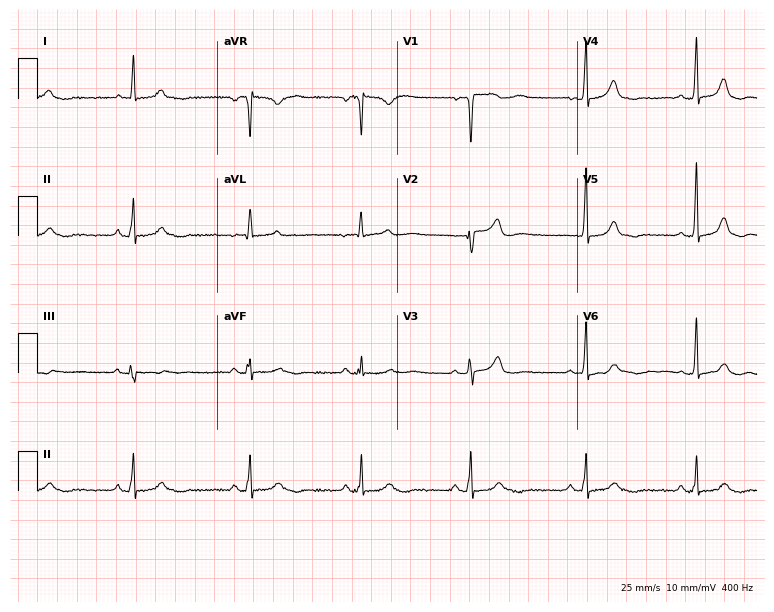
Resting 12-lead electrocardiogram (7.3-second recording at 400 Hz). Patient: a 60-year-old woman. Read as a normal ECG.